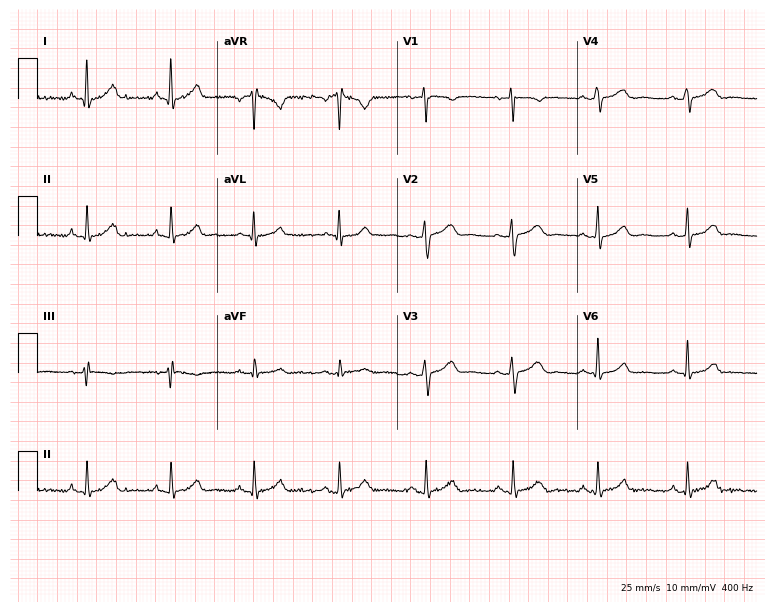
Electrocardiogram, a 37-year-old male patient. Of the six screened findings (first-degree AV block, right bundle branch block, left bundle branch block, sinus bradycardia, atrial fibrillation, sinus tachycardia), none is recorded. Other findings, if any, are not listed.